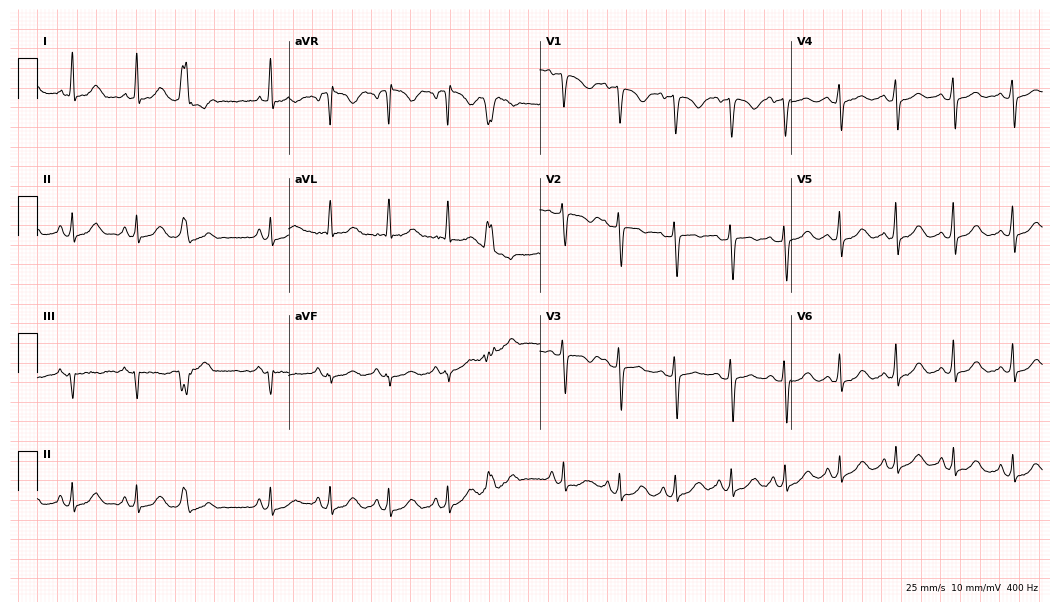
ECG — a female, 43 years old. Screened for six findings — first-degree AV block, right bundle branch block, left bundle branch block, sinus bradycardia, atrial fibrillation, sinus tachycardia — none is recorded.